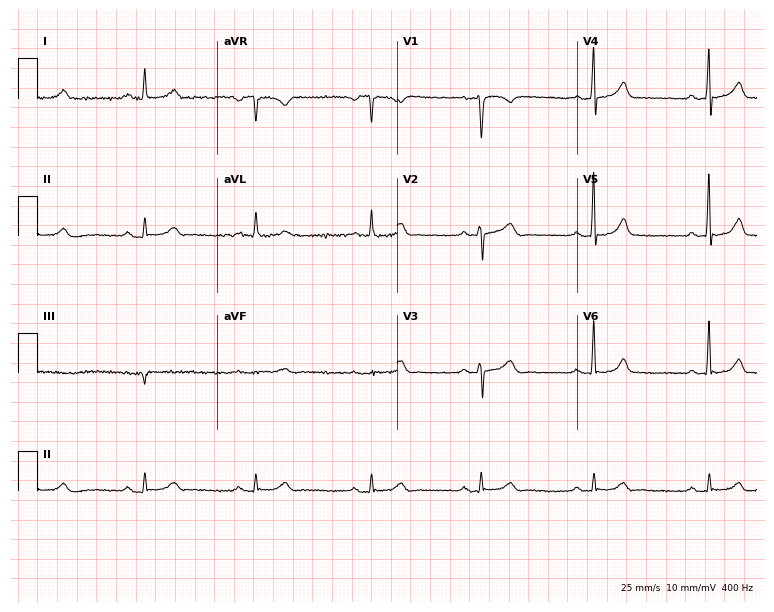
Electrocardiogram (7.3-second recording at 400 Hz), a male patient, 56 years old. Of the six screened findings (first-degree AV block, right bundle branch block, left bundle branch block, sinus bradycardia, atrial fibrillation, sinus tachycardia), none is recorded. Only these six findings were labelled.